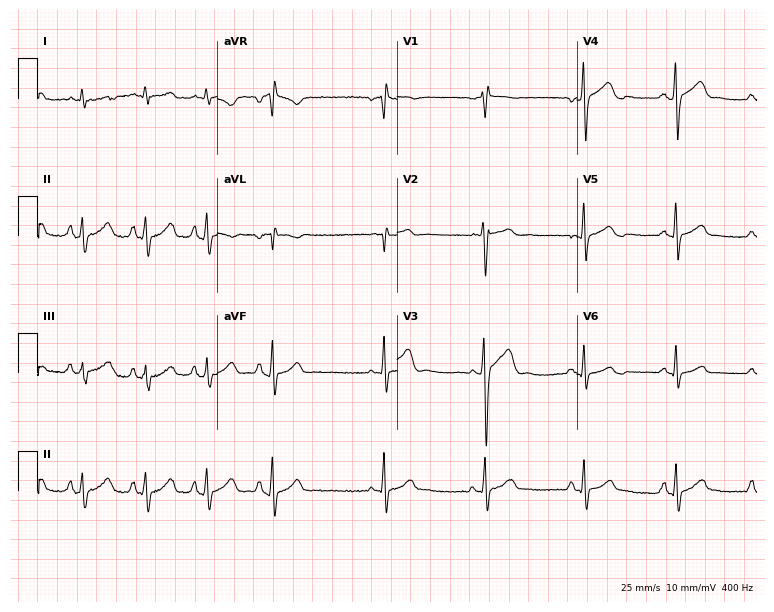
12-lead ECG (7.3-second recording at 400 Hz) from a 19-year-old man. Screened for six findings — first-degree AV block, right bundle branch block, left bundle branch block, sinus bradycardia, atrial fibrillation, sinus tachycardia — none is recorded.